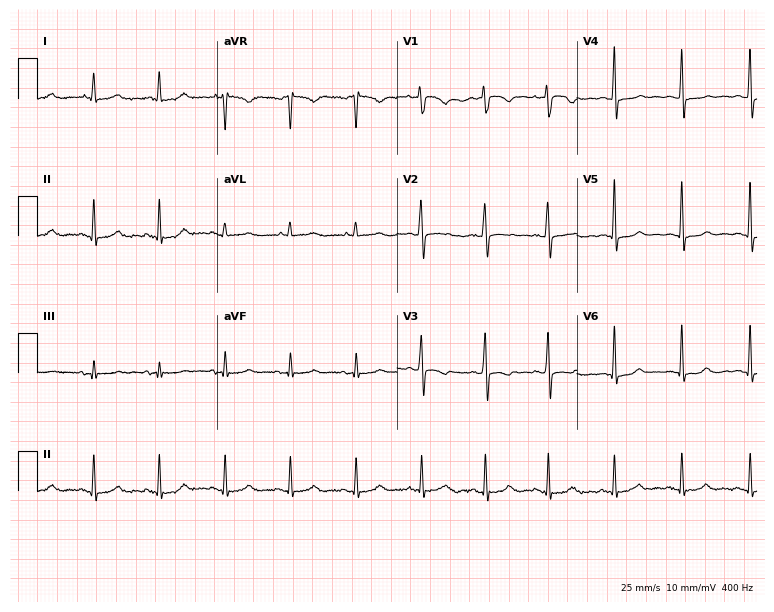
Resting 12-lead electrocardiogram (7.3-second recording at 400 Hz). Patient: a female, 49 years old. None of these six findings is recorded: first-degree AV block, right bundle branch block, left bundle branch block, sinus bradycardia, atrial fibrillation, sinus tachycardia.